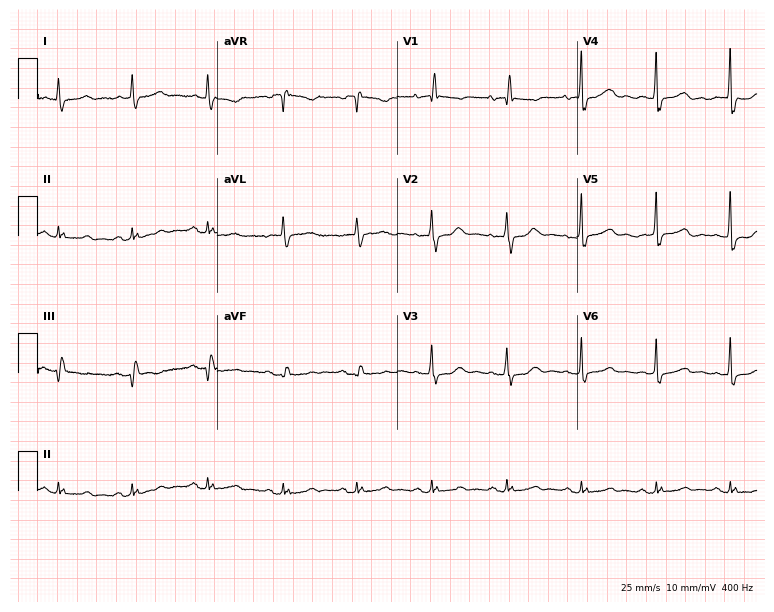
Electrocardiogram, a man, 82 years old. Overall reading on record: normal ECG.